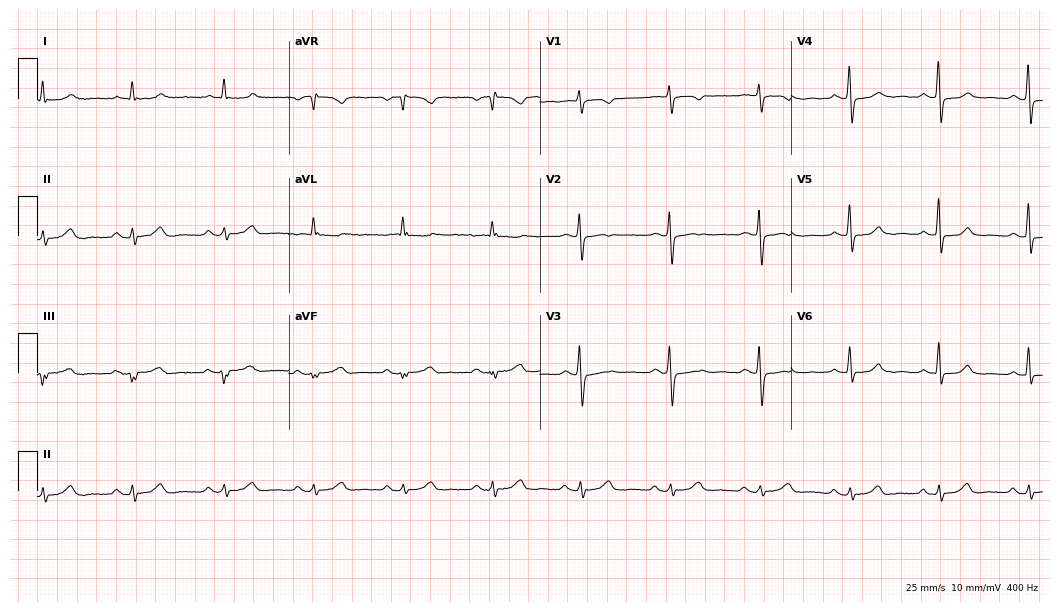
12-lead ECG from a 71-year-old female (10.2-second recording at 400 Hz). Recorded interpretation: within normal limits.